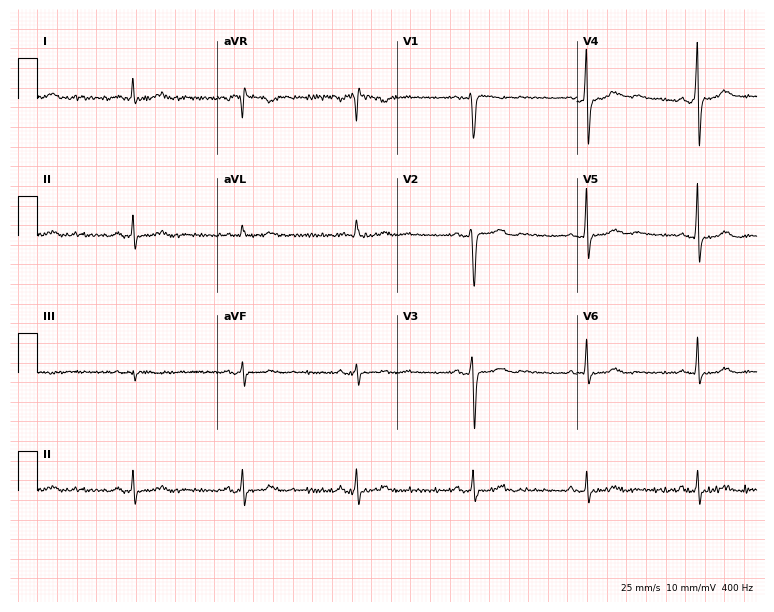
12-lead ECG from a female patient, 45 years old. Screened for six findings — first-degree AV block, right bundle branch block, left bundle branch block, sinus bradycardia, atrial fibrillation, sinus tachycardia — none is recorded. Findings outside these six are not listed.